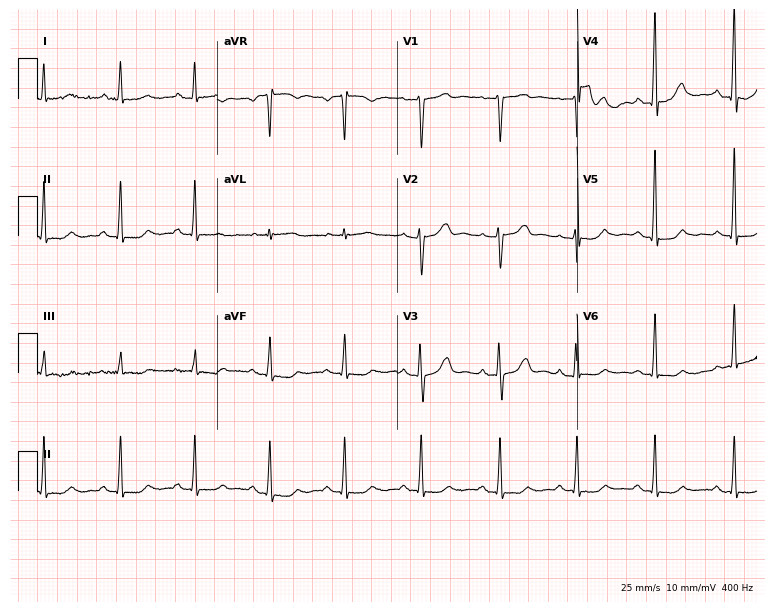
Standard 12-lead ECG recorded from a 68-year-old female patient (7.3-second recording at 400 Hz). None of these six findings is recorded: first-degree AV block, right bundle branch block, left bundle branch block, sinus bradycardia, atrial fibrillation, sinus tachycardia. Only these six findings were labelled.